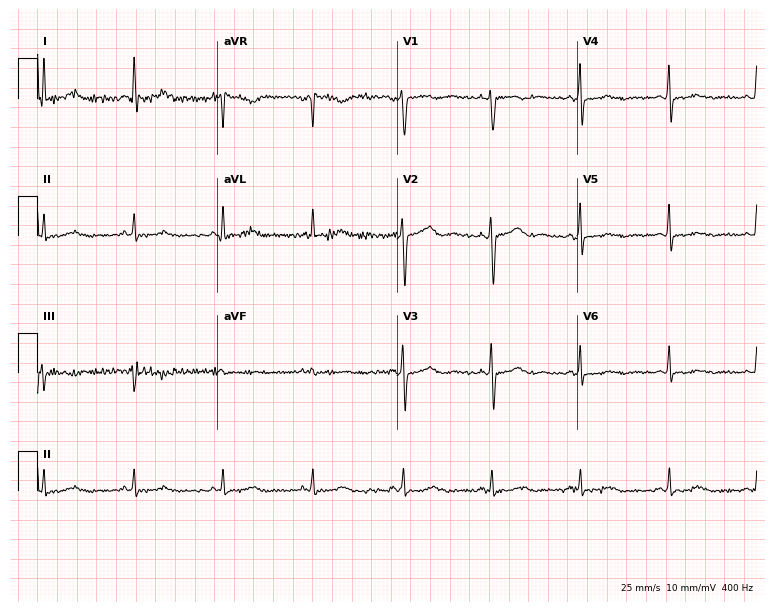
Electrocardiogram, a 50-year-old female. Of the six screened findings (first-degree AV block, right bundle branch block (RBBB), left bundle branch block (LBBB), sinus bradycardia, atrial fibrillation (AF), sinus tachycardia), none is recorded.